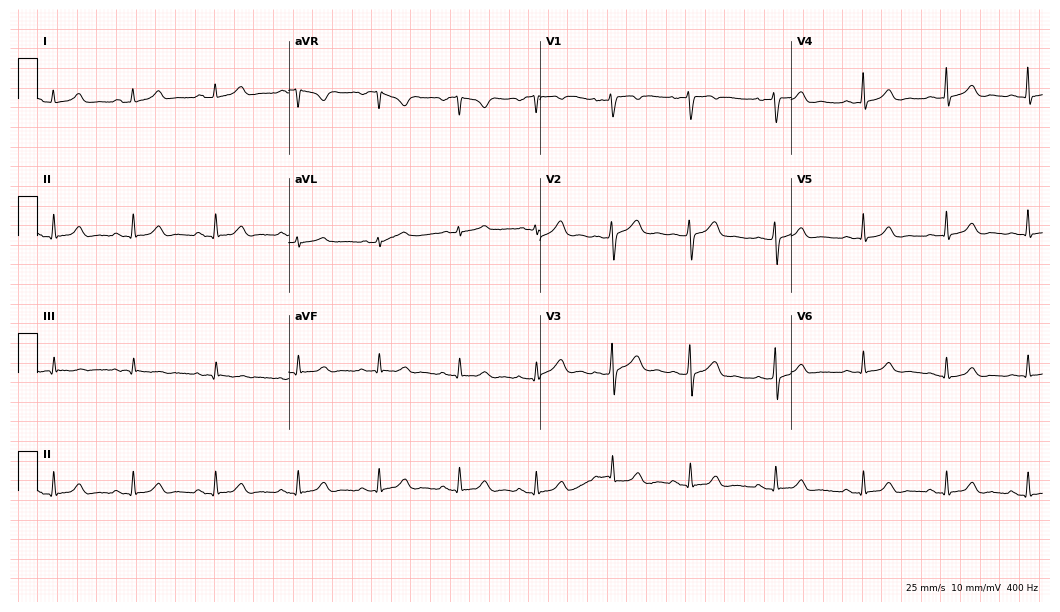
12-lead ECG from a female, 29 years old. Recorded interpretation: within normal limits.